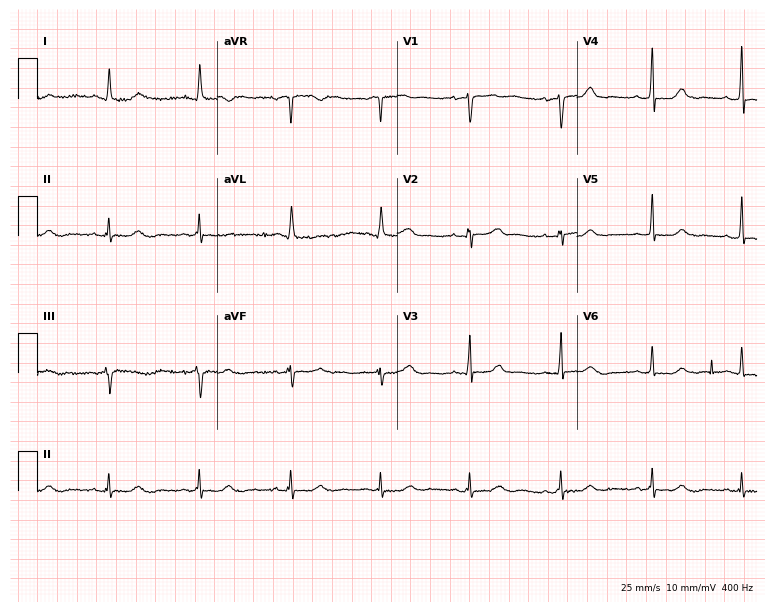
12-lead ECG (7.3-second recording at 400 Hz) from a female, 65 years old. Screened for six findings — first-degree AV block, right bundle branch block, left bundle branch block, sinus bradycardia, atrial fibrillation, sinus tachycardia — none is recorded. Only these six findings were labelled.